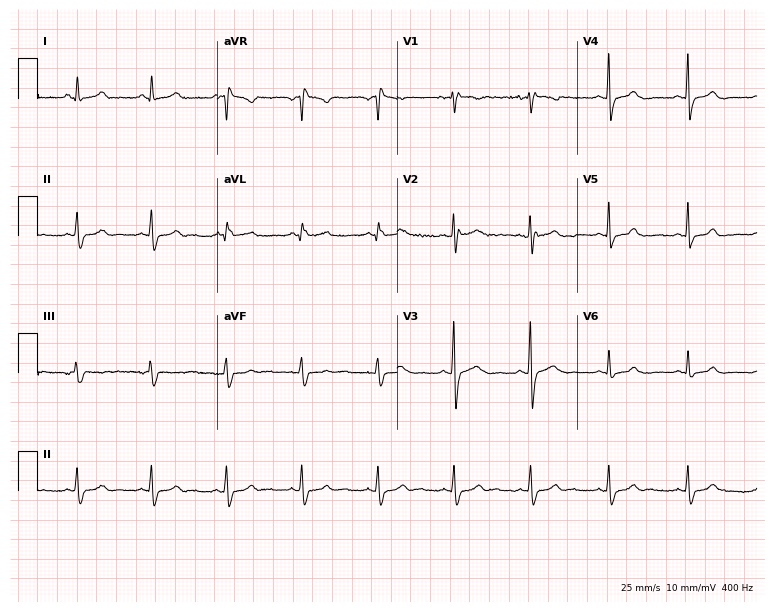
ECG (7.3-second recording at 400 Hz) — a 36-year-old female. Screened for six findings — first-degree AV block, right bundle branch block, left bundle branch block, sinus bradycardia, atrial fibrillation, sinus tachycardia — none is recorded. Findings outside these six are not listed.